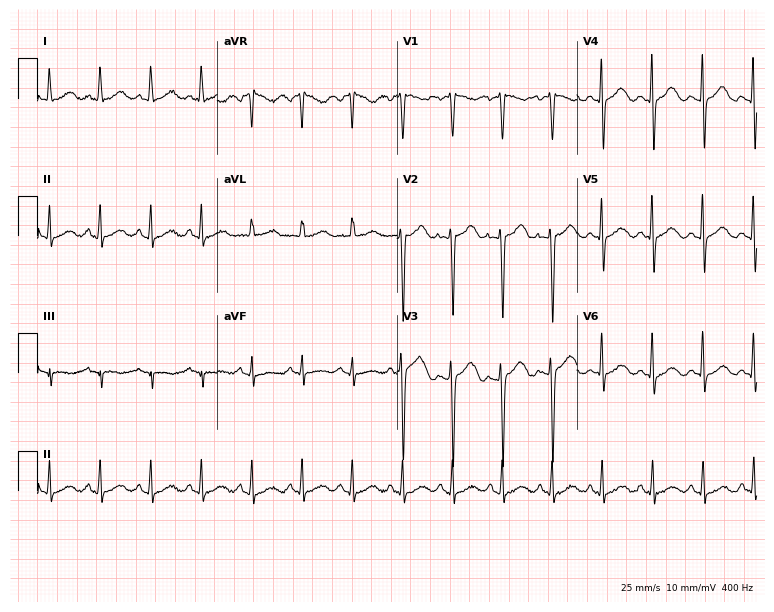
Electrocardiogram (7.3-second recording at 400 Hz), a 33-year-old woman. Interpretation includes sinus tachycardia (a sinus rate of 100 beats per minute or more).